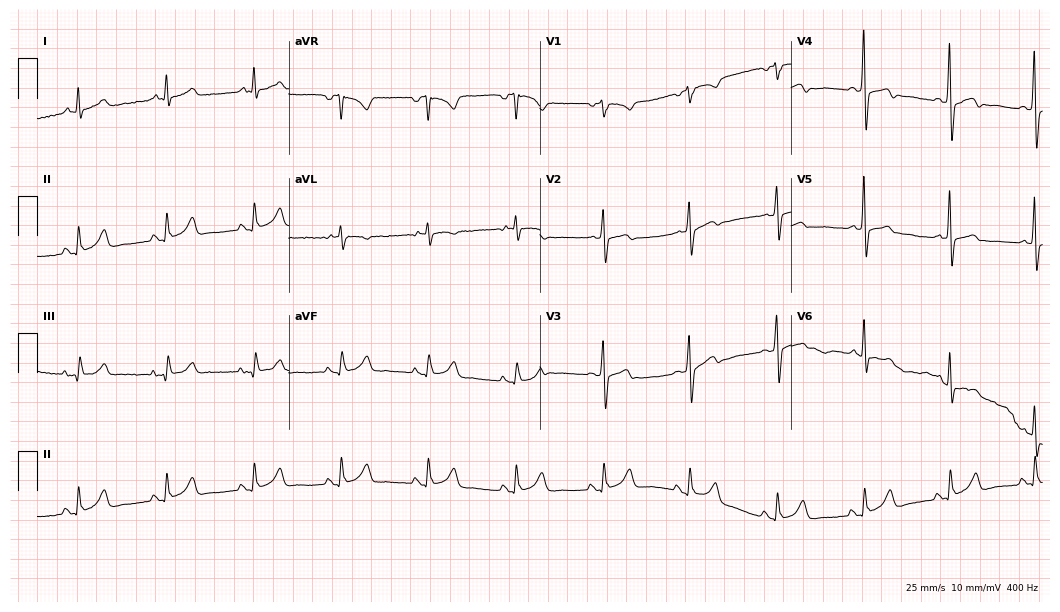
Electrocardiogram, a 64-year-old male patient. Of the six screened findings (first-degree AV block, right bundle branch block, left bundle branch block, sinus bradycardia, atrial fibrillation, sinus tachycardia), none is recorded.